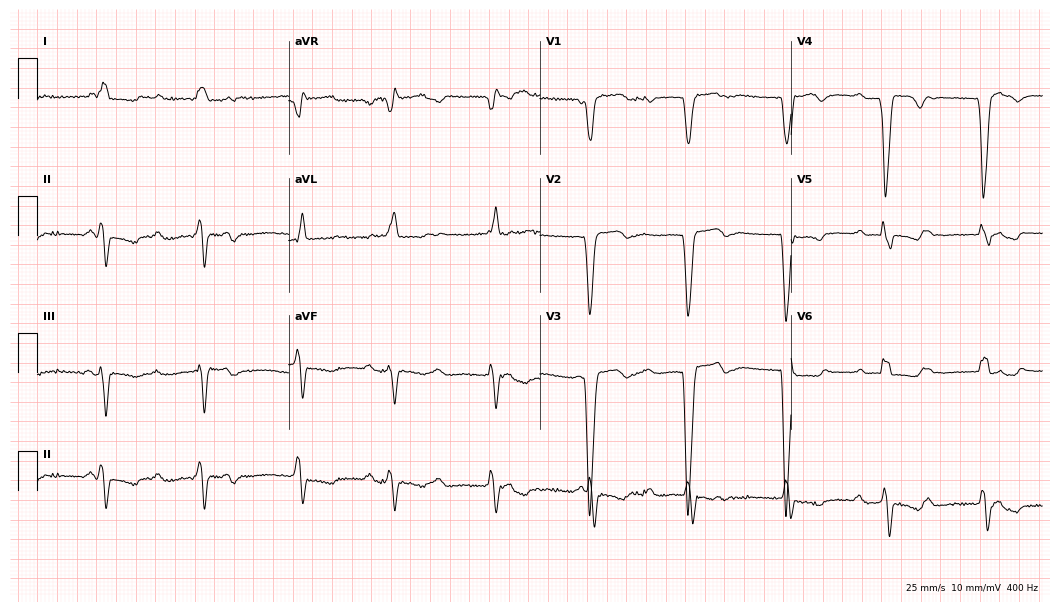
Resting 12-lead electrocardiogram. Patient: a woman, 82 years old. None of these six findings is recorded: first-degree AV block, right bundle branch block (RBBB), left bundle branch block (LBBB), sinus bradycardia, atrial fibrillation (AF), sinus tachycardia. Only these six findings were labelled.